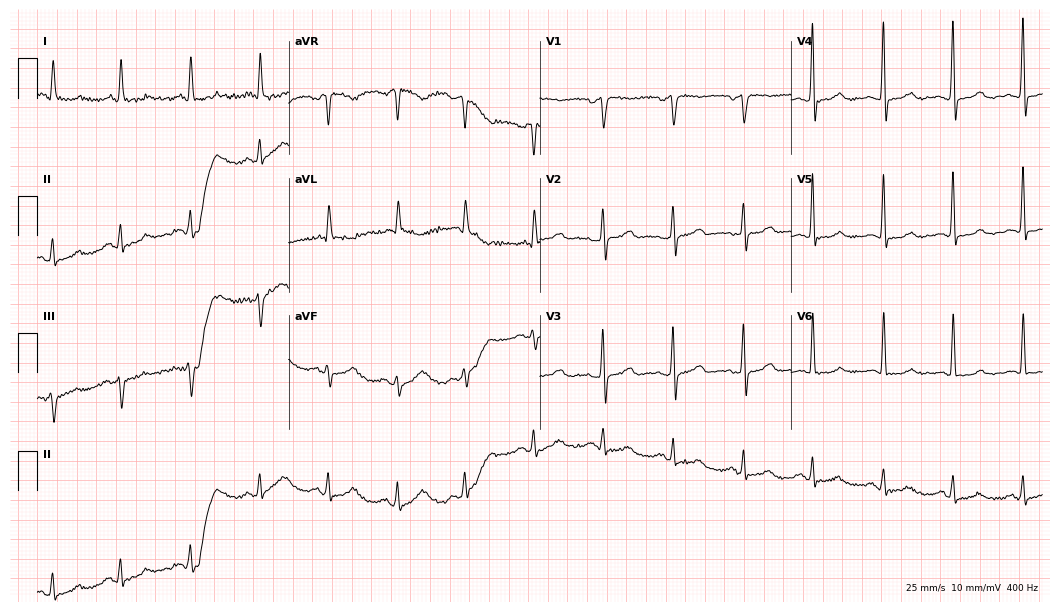
12-lead ECG from a 79-year-old woman. Labelled as a normal ECG.